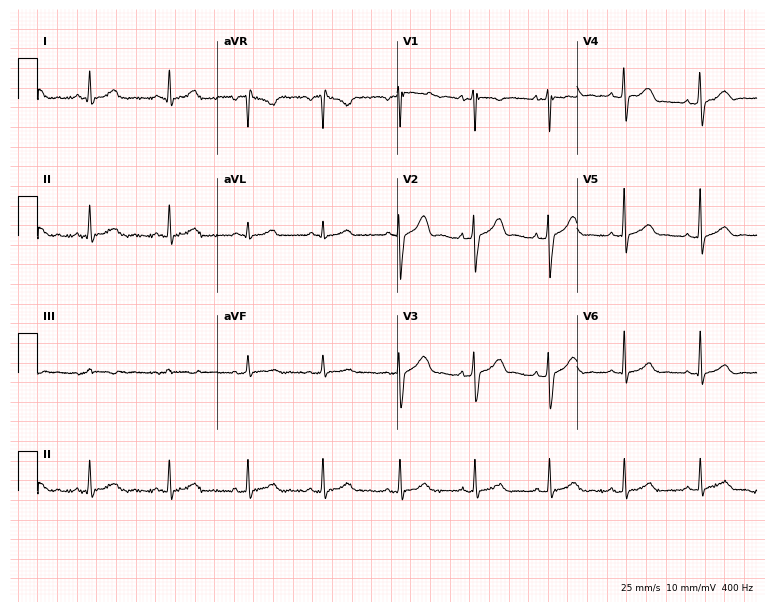
Resting 12-lead electrocardiogram. Patient: a female, 36 years old. Read as a normal ECG.